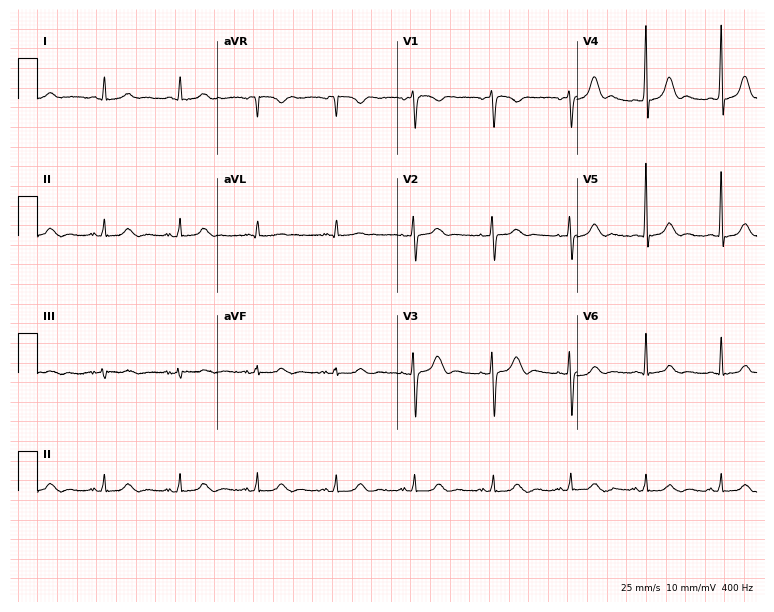
ECG — a 41-year-old female. Labelled as a normal ECG.